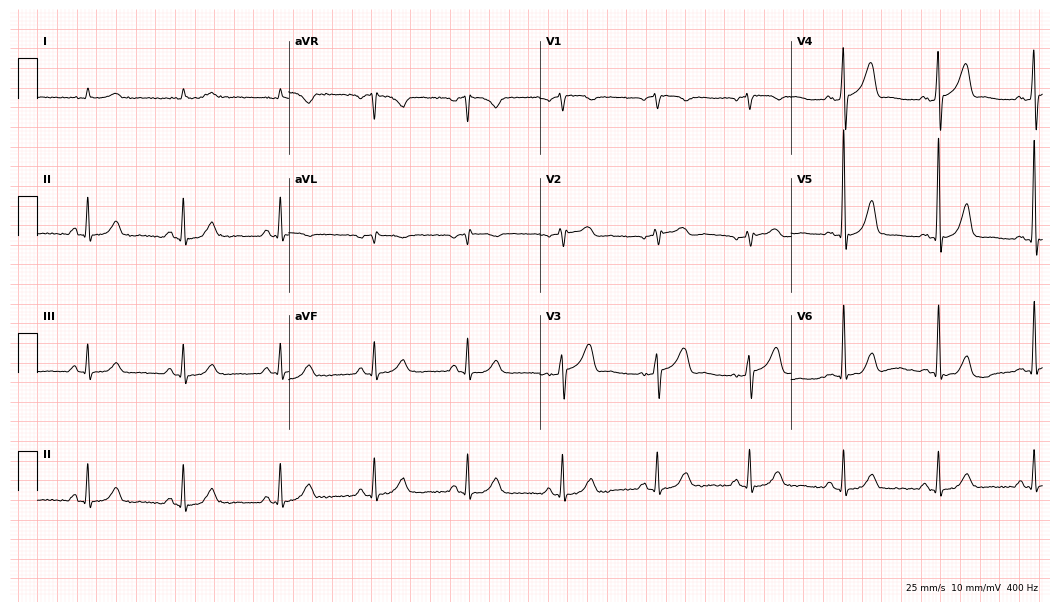
Resting 12-lead electrocardiogram (10.2-second recording at 400 Hz). Patient: a male, 83 years old. Read as a normal ECG.